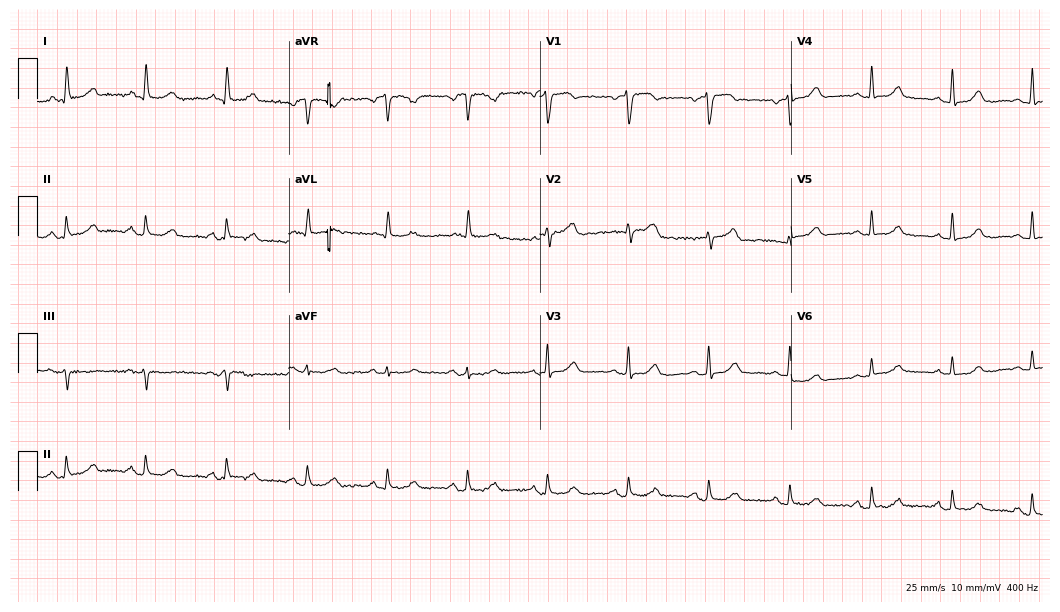
Standard 12-lead ECG recorded from a 75-year-old female. None of these six findings is recorded: first-degree AV block, right bundle branch block (RBBB), left bundle branch block (LBBB), sinus bradycardia, atrial fibrillation (AF), sinus tachycardia.